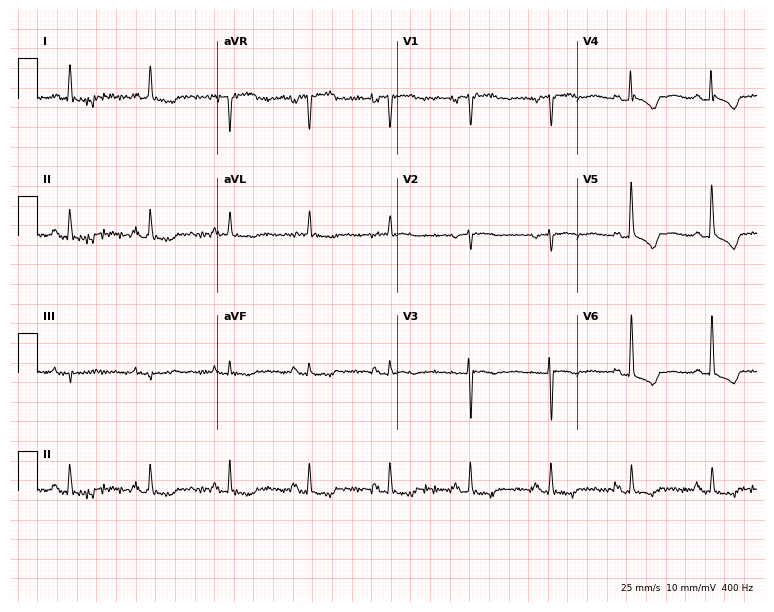
Electrocardiogram (7.3-second recording at 400 Hz), a female patient, 83 years old. Of the six screened findings (first-degree AV block, right bundle branch block (RBBB), left bundle branch block (LBBB), sinus bradycardia, atrial fibrillation (AF), sinus tachycardia), none is recorded.